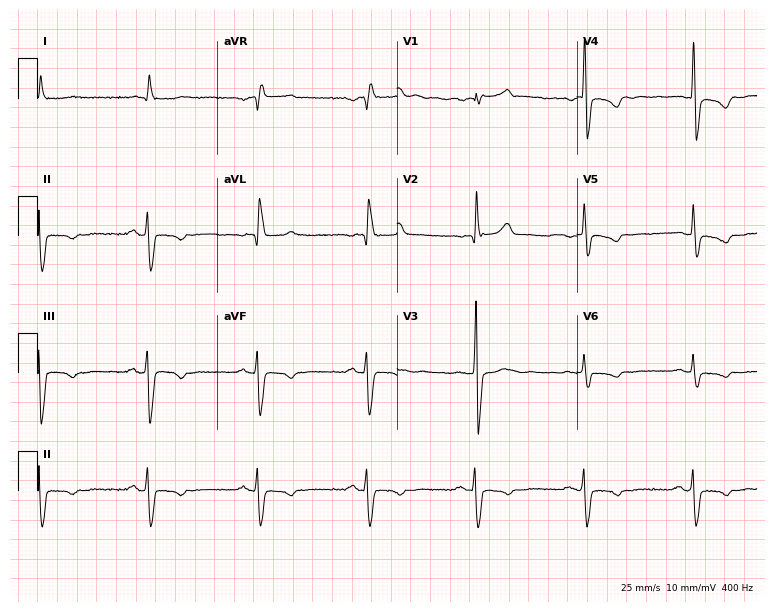
Standard 12-lead ECG recorded from a man, 74 years old. None of these six findings is recorded: first-degree AV block, right bundle branch block (RBBB), left bundle branch block (LBBB), sinus bradycardia, atrial fibrillation (AF), sinus tachycardia.